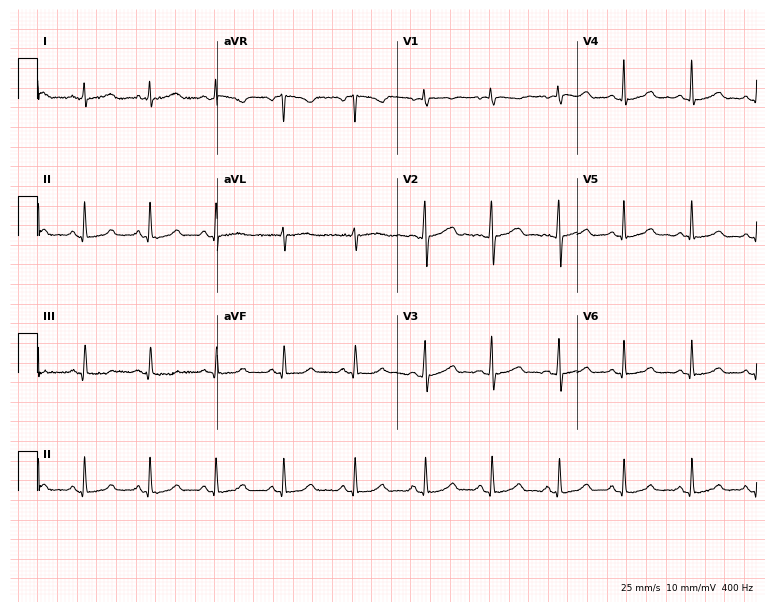
ECG (7.3-second recording at 400 Hz) — a female patient, 42 years old. Labelled as a normal ECG.